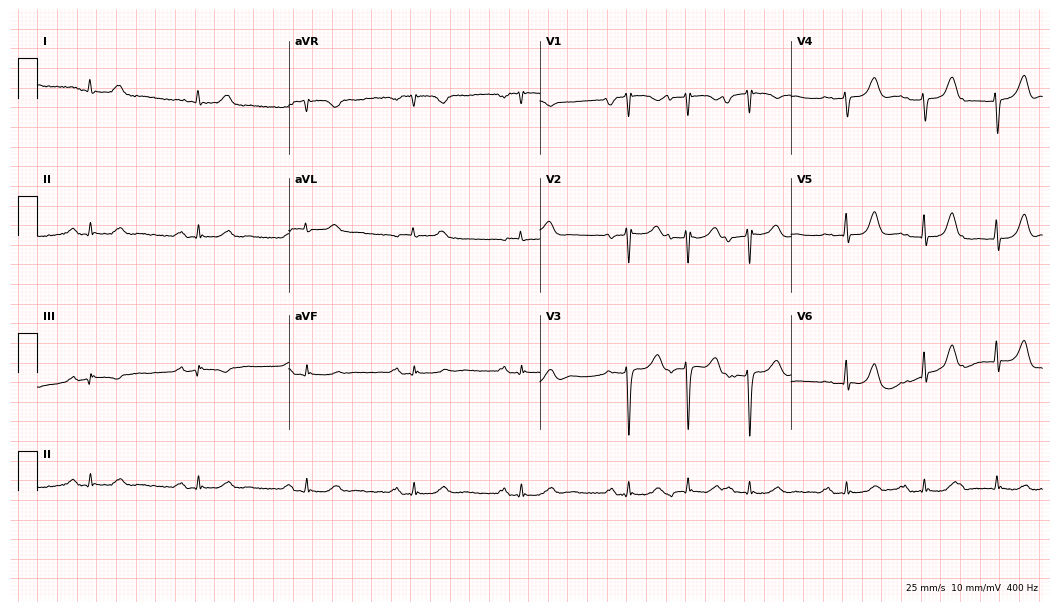
Standard 12-lead ECG recorded from a female, 75 years old (10.2-second recording at 400 Hz). The tracing shows first-degree AV block.